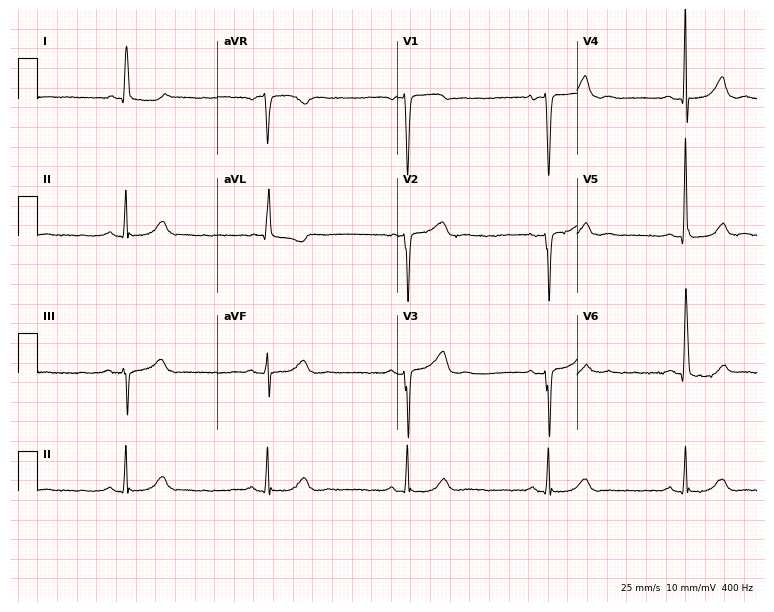
Electrocardiogram (7.3-second recording at 400 Hz), a female patient, 70 years old. Of the six screened findings (first-degree AV block, right bundle branch block (RBBB), left bundle branch block (LBBB), sinus bradycardia, atrial fibrillation (AF), sinus tachycardia), none is recorded. Other findings, if any, are not listed.